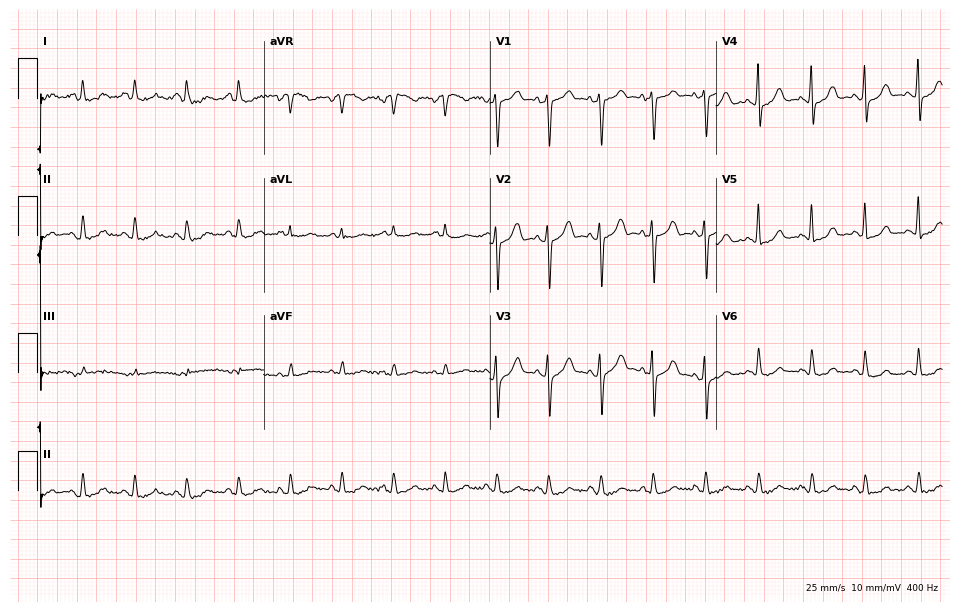
Electrocardiogram (9.2-second recording at 400 Hz), a woman, 69 years old. Interpretation includes sinus tachycardia (a sinus rate of 100 beats per minute or more).